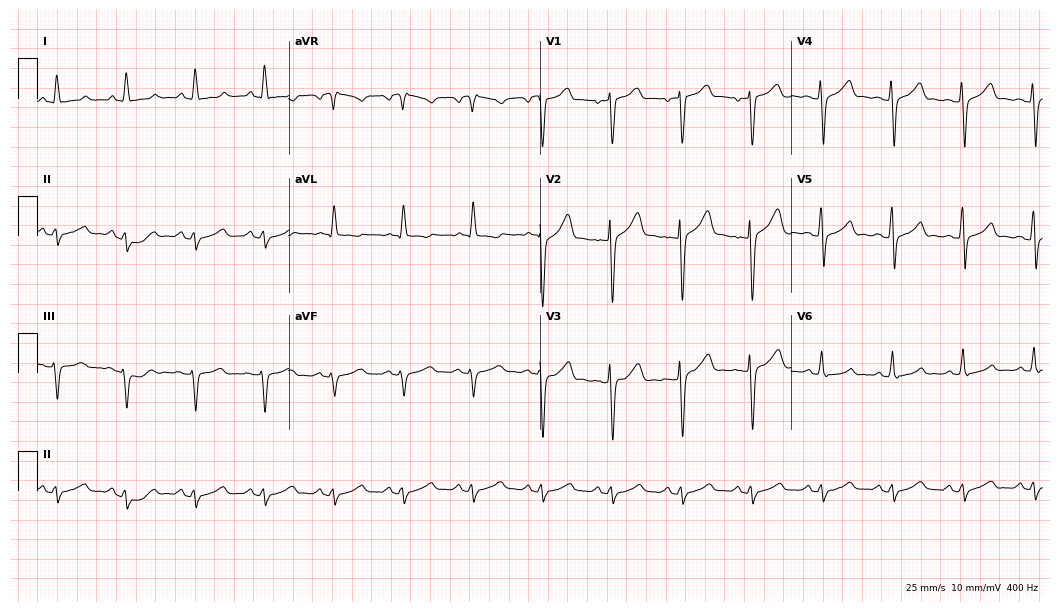
Resting 12-lead electrocardiogram (10.2-second recording at 400 Hz). Patient: a 72-year-old man. None of these six findings is recorded: first-degree AV block, right bundle branch block (RBBB), left bundle branch block (LBBB), sinus bradycardia, atrial fibrillation (AF), sinus tachycardia. Findings outside these six are not listed.